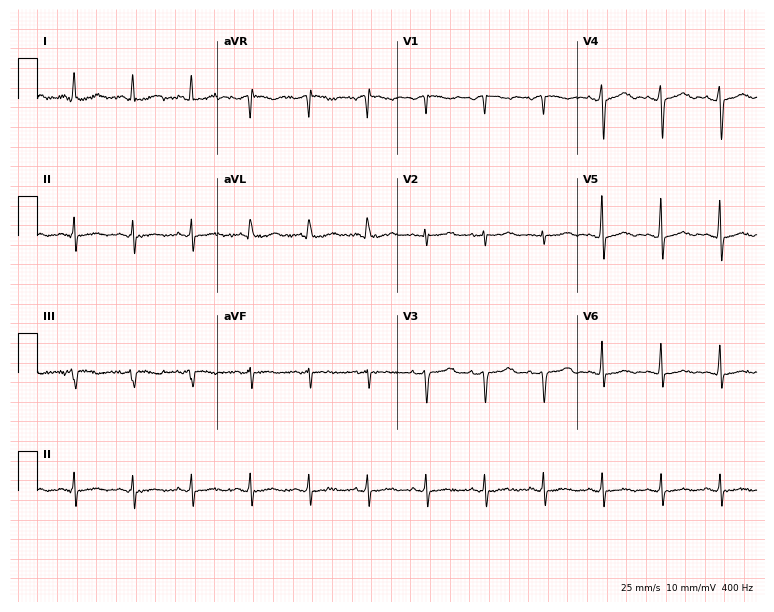
Electrocardiogram (7.3-second recording at 400 Hz), a 51-year-old female. Of the six screened findings (first-degree AV block, right bundle branch block, left bundle branch block, sinus bradycardia, atrial fibrillation, sinus tachycardia), none is recorded. Only these six findings were labelled.